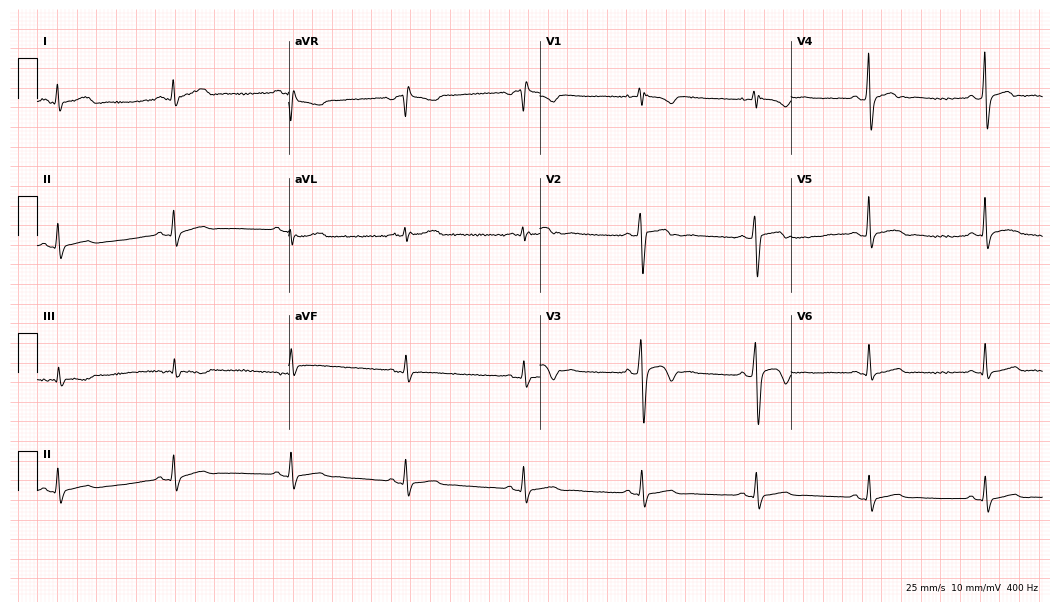
Resting 12-lead electrocardiogram (10.2-second recording at 400 Hz). Patient: a 32-year-old male. None of these six findings is recorded: first-degree AV block, right bundle branch block (RBBB), left bundle branch block (LBBB), sinus bradycardia, atrial fibrillation (AF), sinus tachycardia.